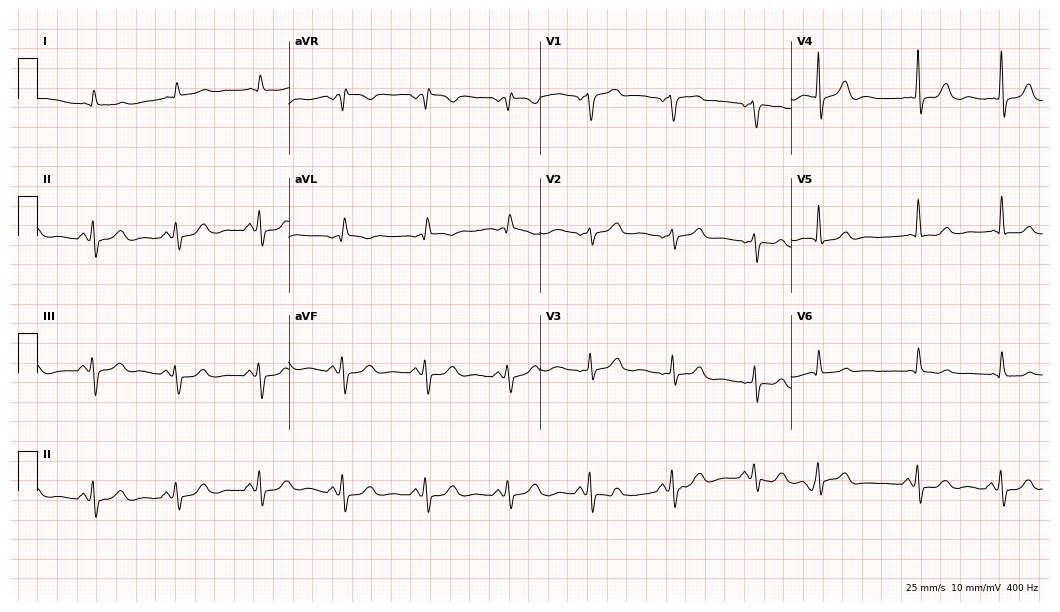
Standard 12-lead ECG recorded from a male, 76 years old. None of these six findings is recorded: first-degree AV block, right bundle branch block, left bundle branch block, sinus bradycardia, atrial fibrillation, sinus tachycardia. Findings outside these six are not listed.